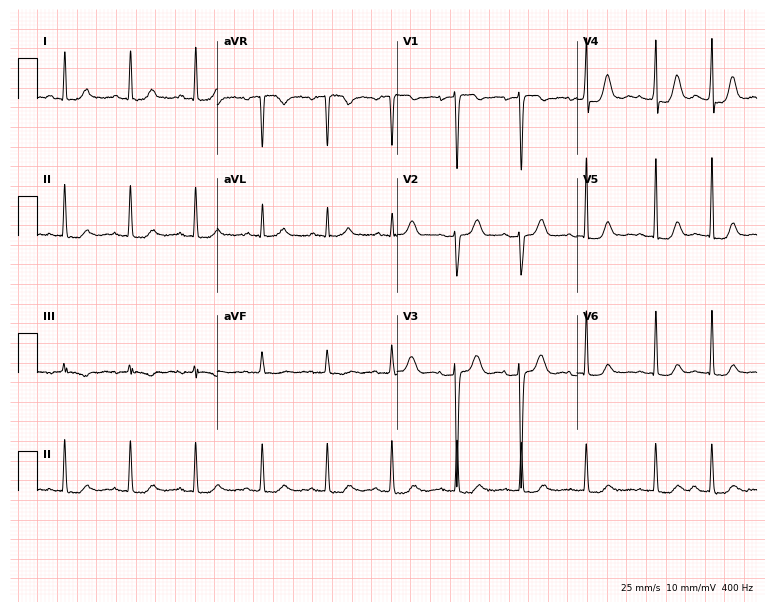
Resting 12-lead electrocardiogram. Patient: a 52-year-old woman. None of these six findings is recorded: first-degree AV block, right bundle branch block, left bundle branch block, sinus bradycardia, atrial fibrillation, sinus tachycardia.